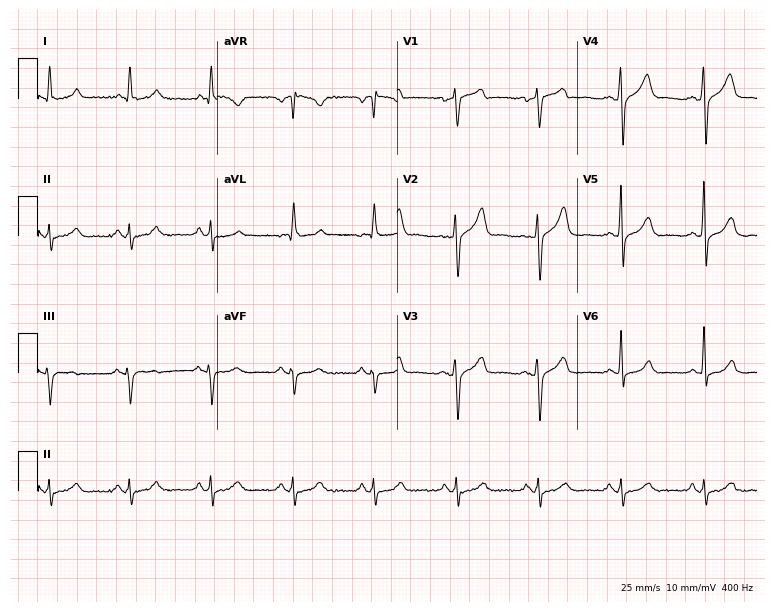
Resting 12-lead electrocardiogram (7.3-second recording at 400 Hz). Patient: a 44-year-old male. None of these six findings is recorded: first-degree AV block, right bundle branch block, left bundle branch block, sinus bradycardia, atrial fibrillation, sinus tachycardia.